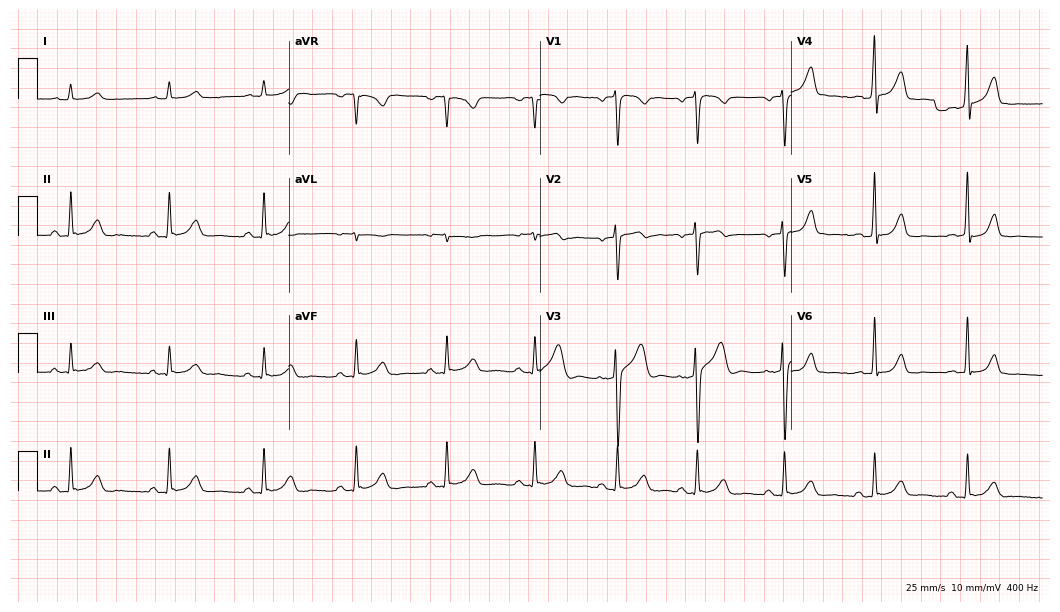
12-lead ECG from a 61-year-old man (10.2-second recording at 400 Hz). Recorded interpretation: within normal limits.